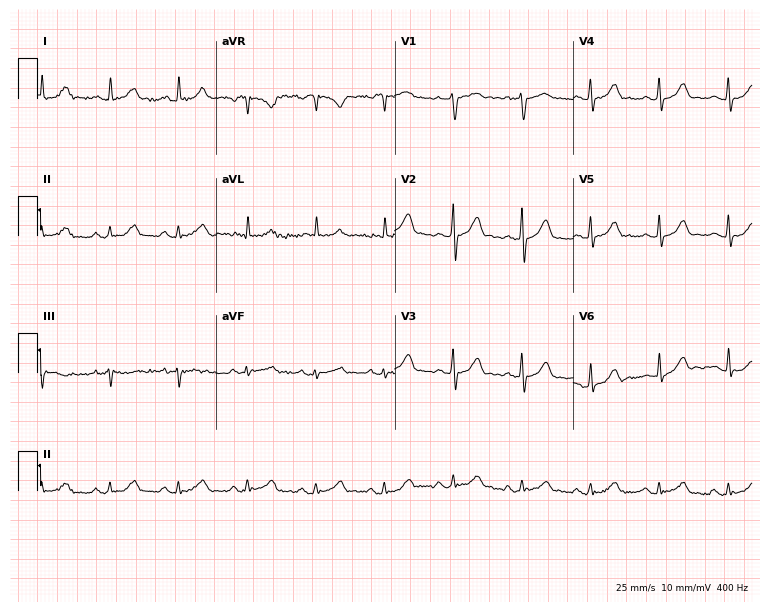
Resting 12-lead electrocardiogram (7.3-second recording at 400 Hz). Patient: a male, 81 years old. Read as a normal ECG.